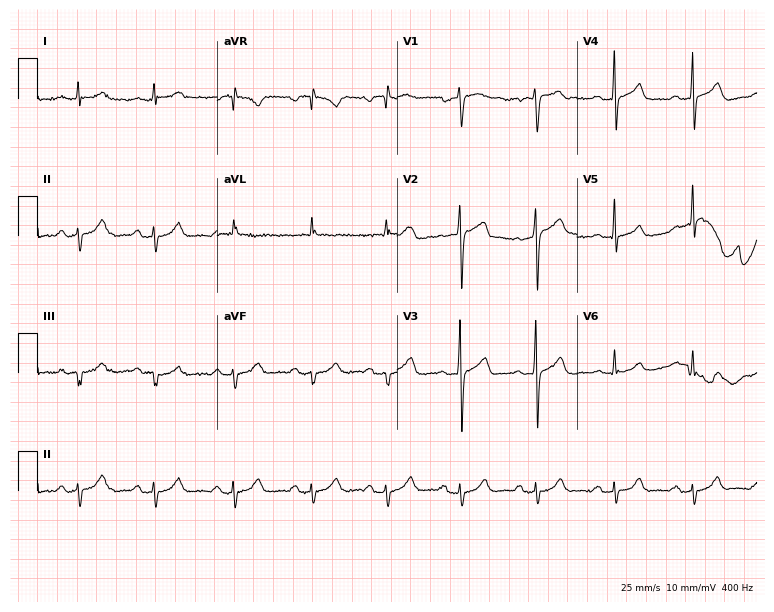
12-lead ECG from a 51-year-old male (7.3-second recording at 400 Hz). Recorded interpretation: within normal limits.